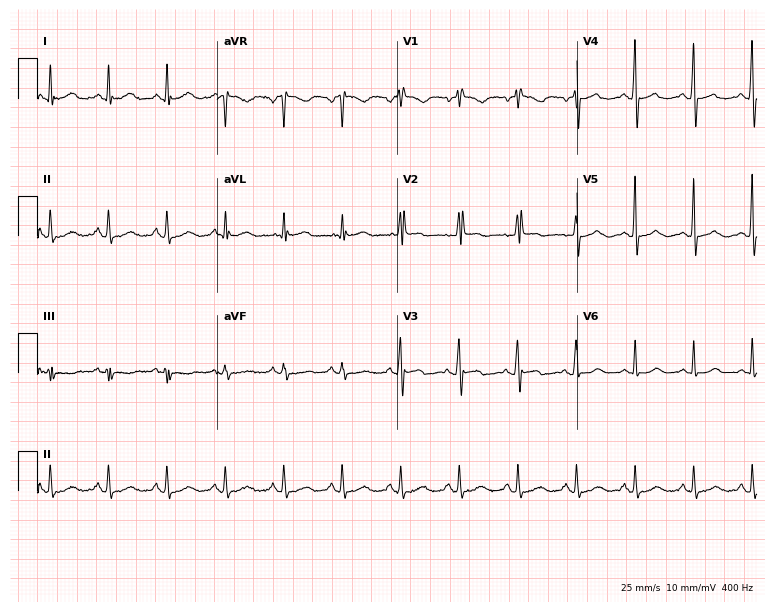
12-lead ECG from a woman, 79 years old. Screened for six findings — first-degree AV block, right bundle branch block, left bundle branch block, sinus bradycardia, atrial fibrillation, sinus tachycardia — none is recorded.